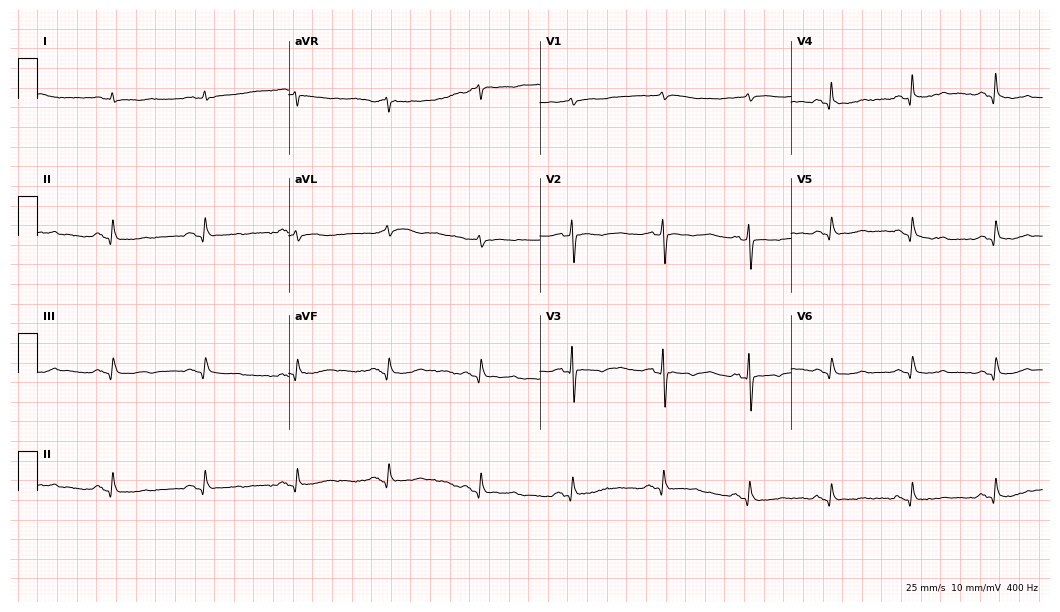
Resting 12-lead electrocardiogram (10.2-second recording at 400 Hz). Patient: a 63-year-old female. None of these six findings is recorded: first-degree AV block, right bundle branch block, left bundle branch block, sinus bradycardia, atrial fibrillation, sinus tachycardia. Findings outside these six are not listed.